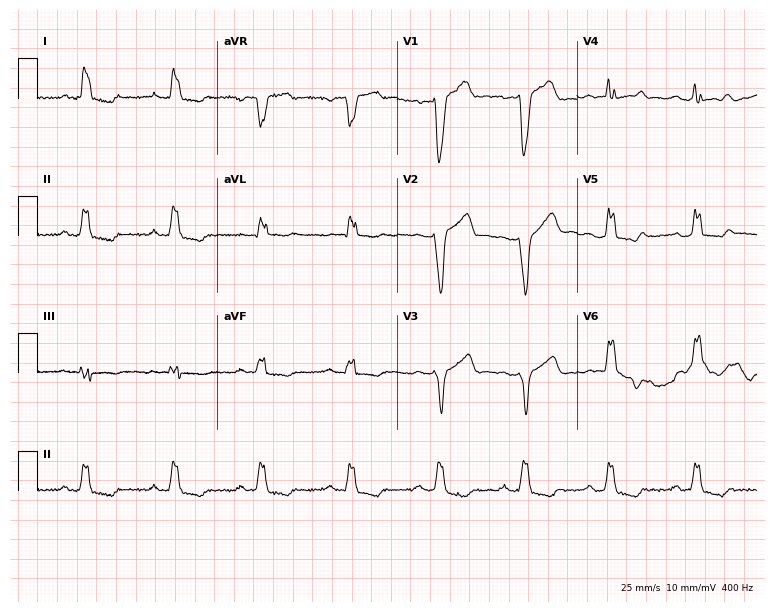
12-lead ECG from a 58-year-old male. Shows left bundle branch block.